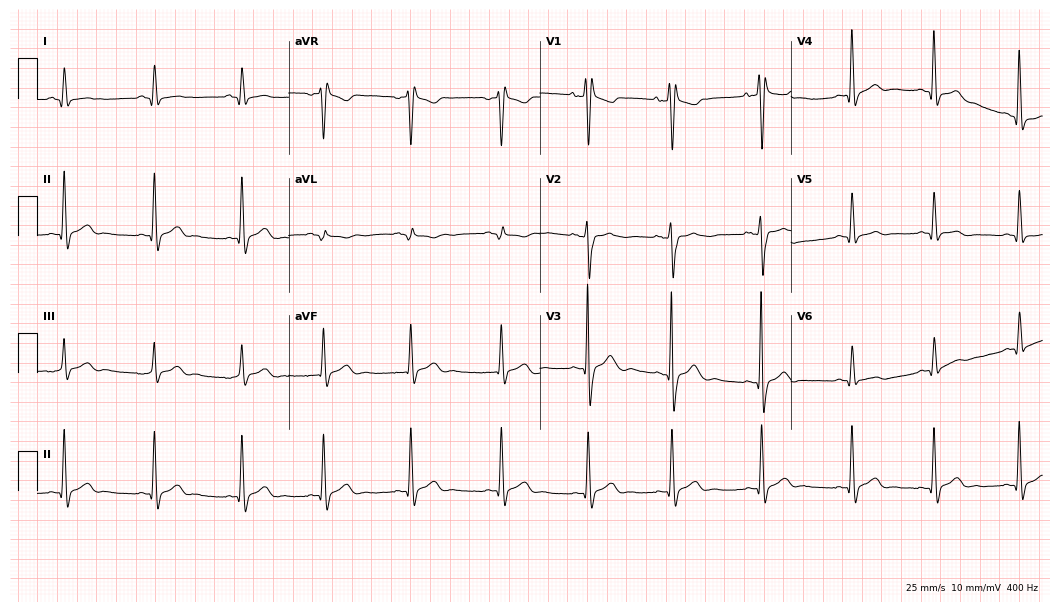
12-lead ECG from an 18-year-old man. No first-degree AV block, right bundle branch block (RBBB), left bundle branch block (LBBB), sinus bradycardia, atrial fibrillation (AF) or sinus tachycardia recorded for this tracing. Findings outside these six are not listed.